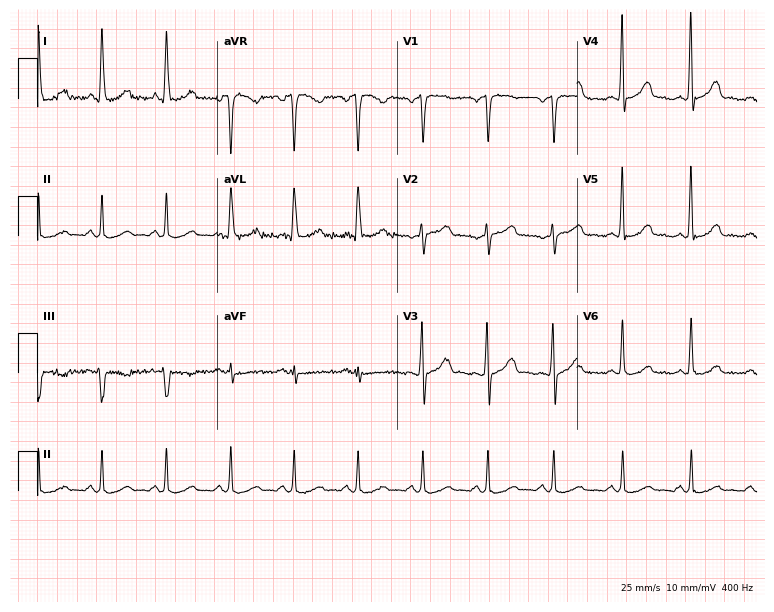
Resting 12-lead electrocardiogram (7.3-second recording at 400 Hz). Patient: a woman, 45 years old. None of these six findings is recorded: first-degree AV block, right bundle branch block, left bundle branch block, sinus bradycardia, atrial fibrillation, sinus tachycardia.